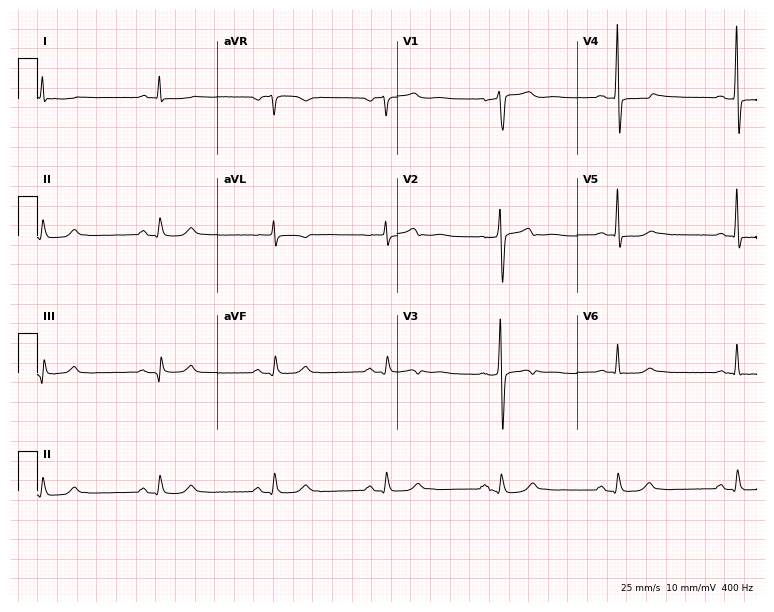
12-lead ECG (7.3-second recording at 400 Hz) from a male, 63 years old. Screened for six findings — first-degree AV block, right bundle branch block, left bundle branch block, sinus bradycardia, atrial fibrillation, sinus tachycardia — none is recorded.